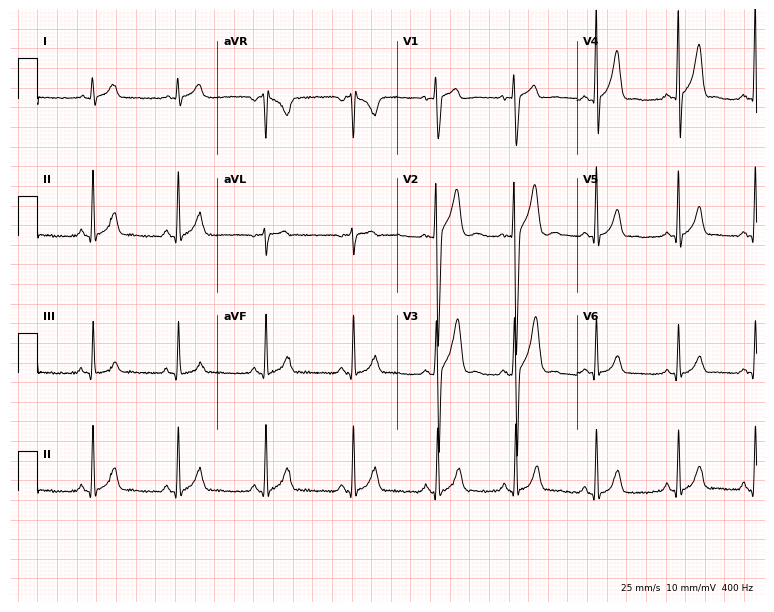
12-lead ECG from a male, 18 years old. Labelled as a normal ECG.